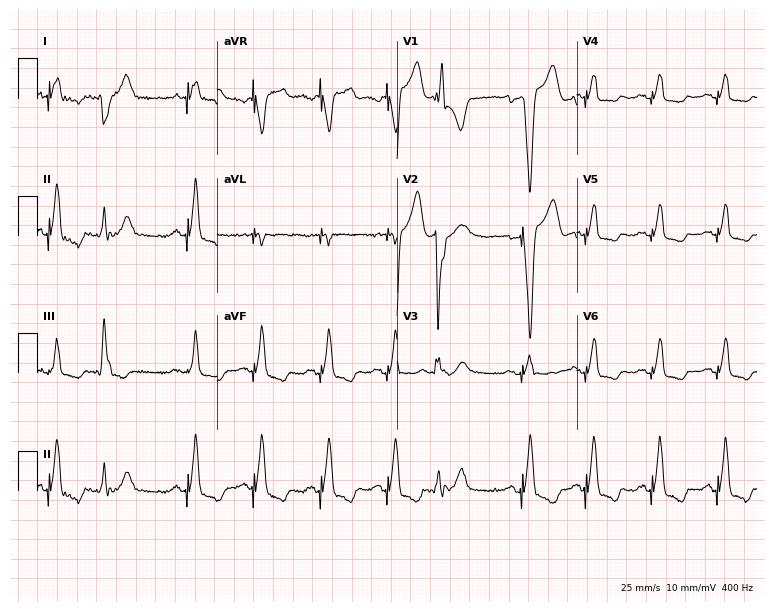
ECG — an 82-year-old woman. Screened for six findings — first-degree AV block, right bundle branch block (RBBB), left bundle branch block (LBBB), sinus bradycardia, atrial fibrillation (AF), sinus tachycardia — none is recorded. Other findings, if any, are not listed.